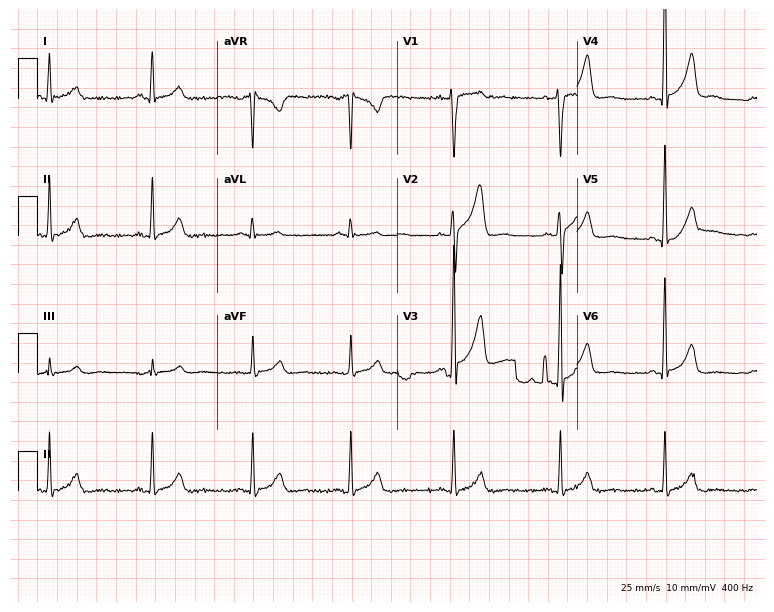
Electrocardiogram (7.3-second recording at 400 Hz), a 42-year-old male patient. Of the six screened findings (first-degree AV block, right bundle branch block (RBBB), left bundle branch block (LBBB), sinus bradycardia, atrial fibrillation (AF), sinus tachycardia), none is recorded. Other findings, if any, are not listed.